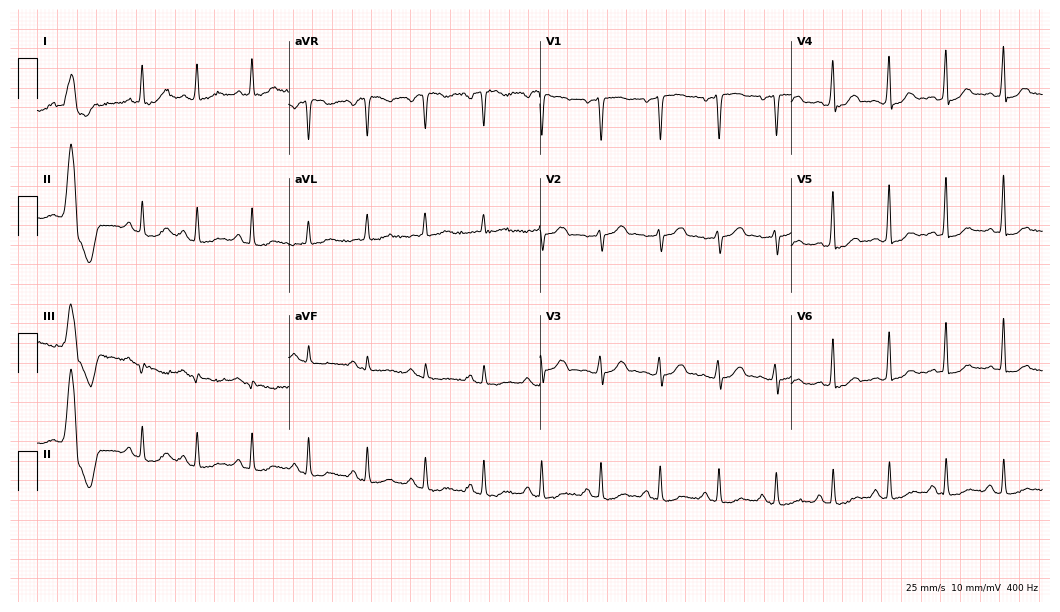
Resting 12-lead electrocardiogram. Patient: a 37-year-old female. Read as a normal ECG.